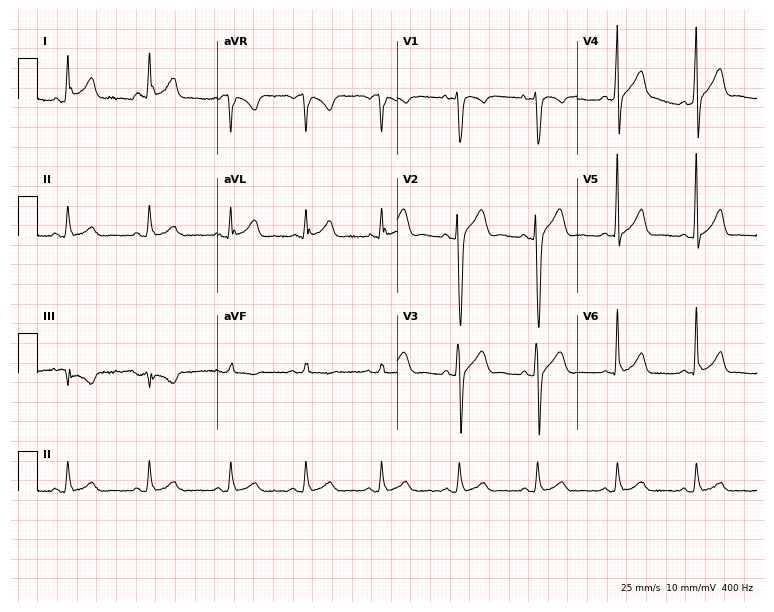
Electrocardiogram, a male patient, 34 years old. Of the six screened findings (first-degree AV block, right bundle branch block, left bundle branch block, sinus bradycardia, atrial fibrillation, sinus tachycardia), none is recorded.